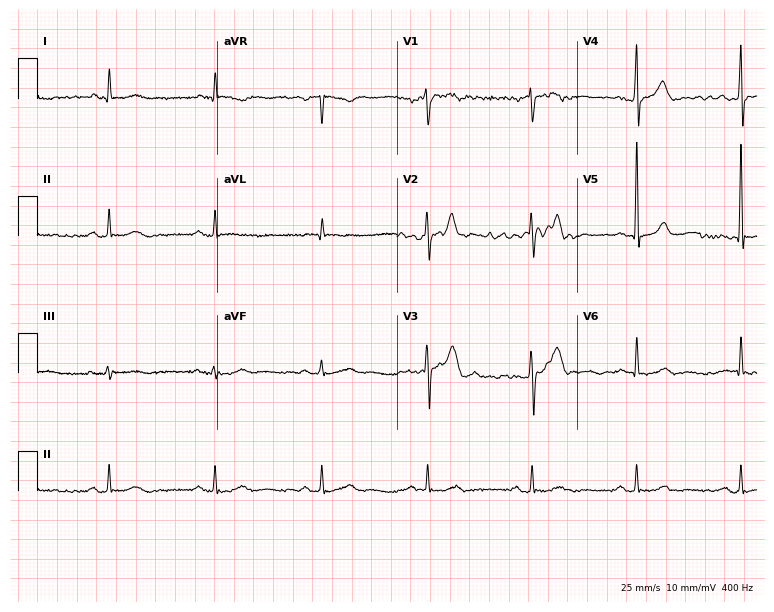
Electrocardiogram (7.3-second recording at 400 Hz), an 83-year-old man. Overall reading on record: normal ECG.